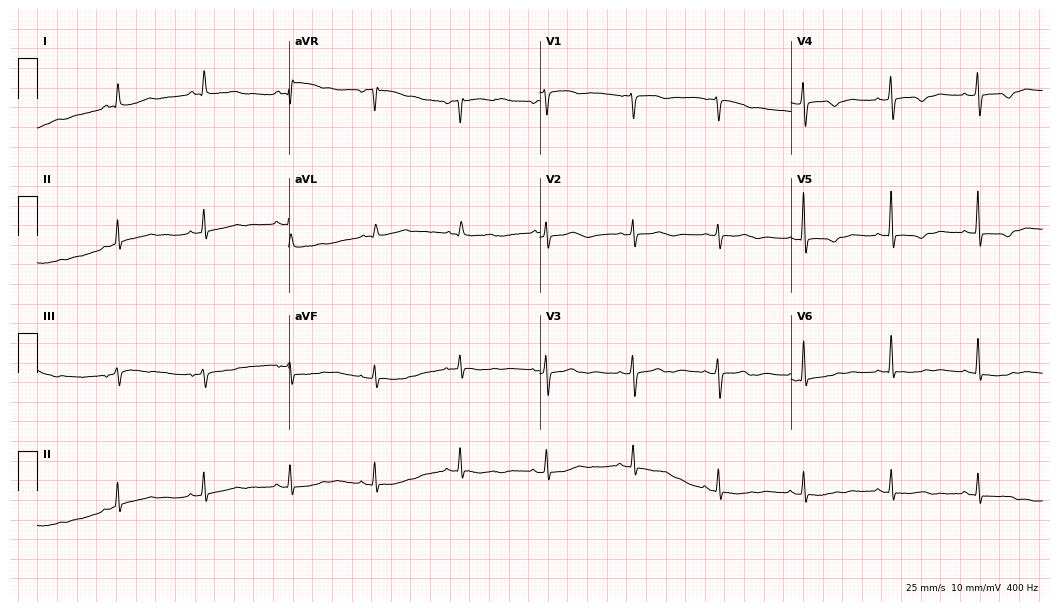
Electrocardiogram, a 68-year-old female. Of the six screened findings (first-degree AV block, right bundle branch block, left bundle branch block, sinus bradycardia, atrial fibrillation, sinus tachycardia), none is recorded. Only these six findings were labelled.